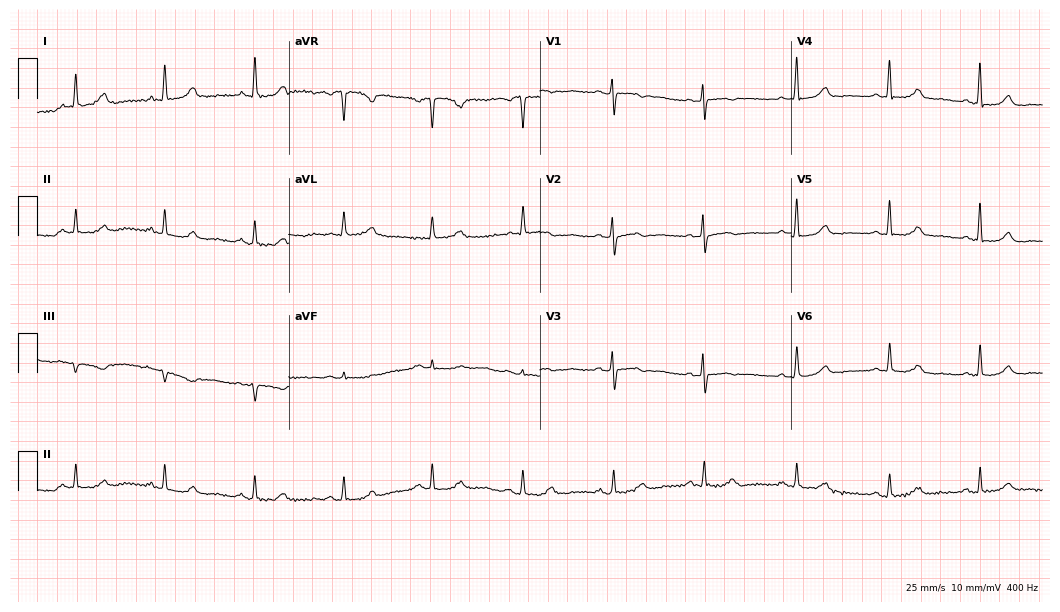
Standard 12-lead ECG recorded from a 68-year-old woman. Read as a normal ECG.